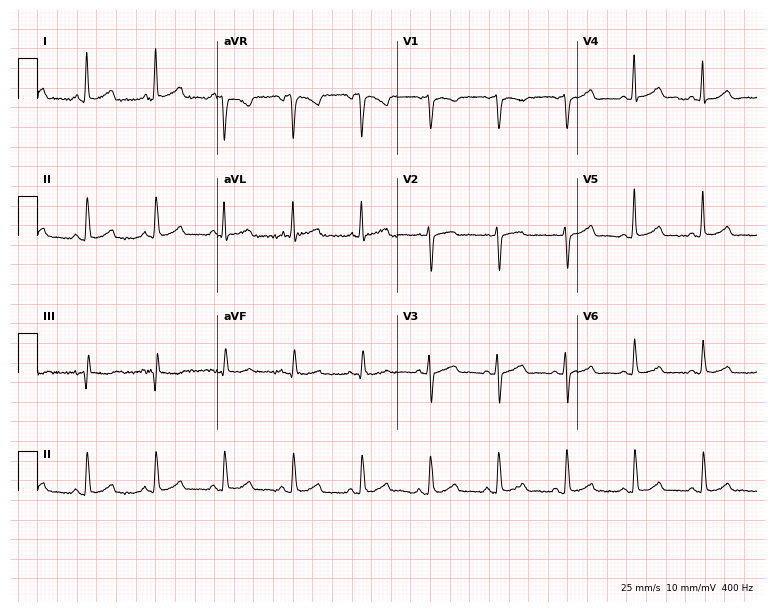
Resting 12-lead electrocardiogram (7.3-second recording at 400 Hz). Patient: a 63-year-old woman. None of these six findings is recorded: first-degree AV block, right bundle branch block (RBBB), left bundle branch block (LBBB), sinus bradycardia, atrial fibrillation (AF), sinus tachycardia.